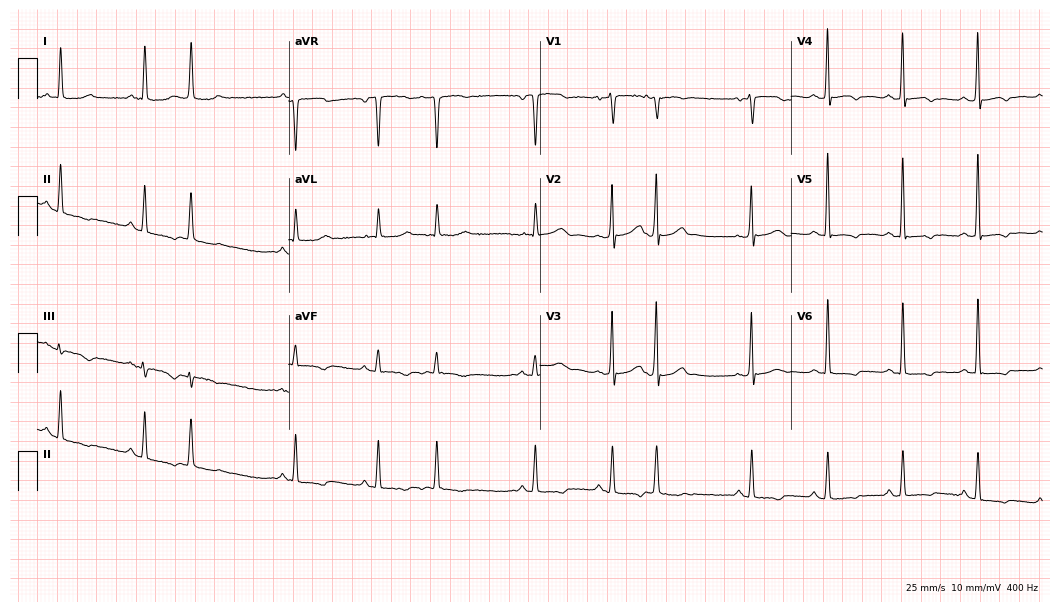
12-lead ECG from a 69-year-old woman (10.2-second recording at 400 Hz). No first-degree AV block, right bundle branch block, left bundle branch block, sinus bradycardia, atrial fibrillation or sinus tachycardia recorded for this tracing.